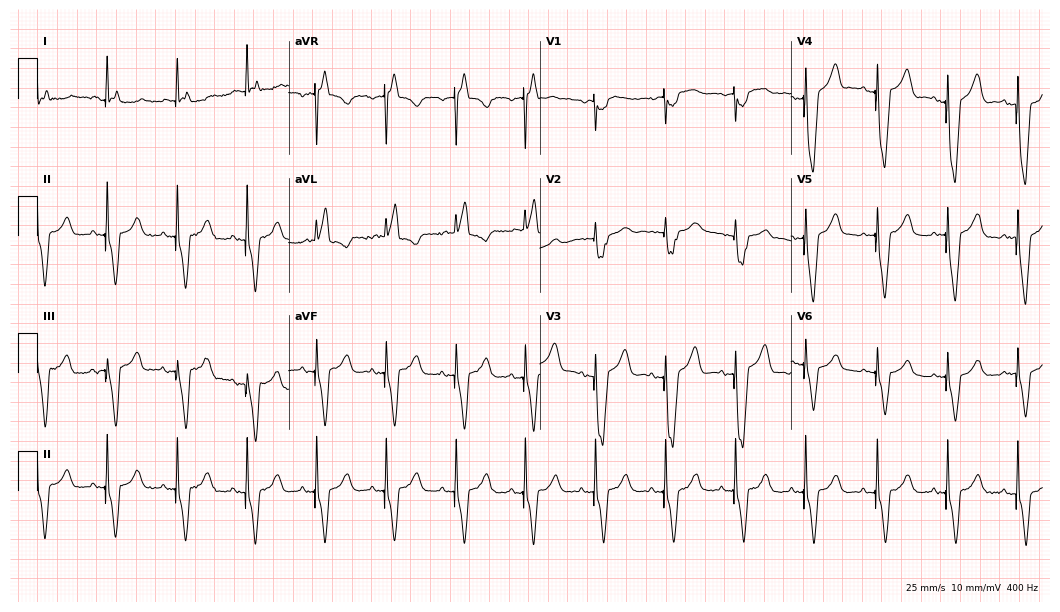
Electrocardiogram, a male, 82 years old. Of the six screened findings (first-degree AV block, right bundle branch block, left bundle branch block, sinus bradycardia, atrial fibrillation, sinus tachycardia), none is recorded.